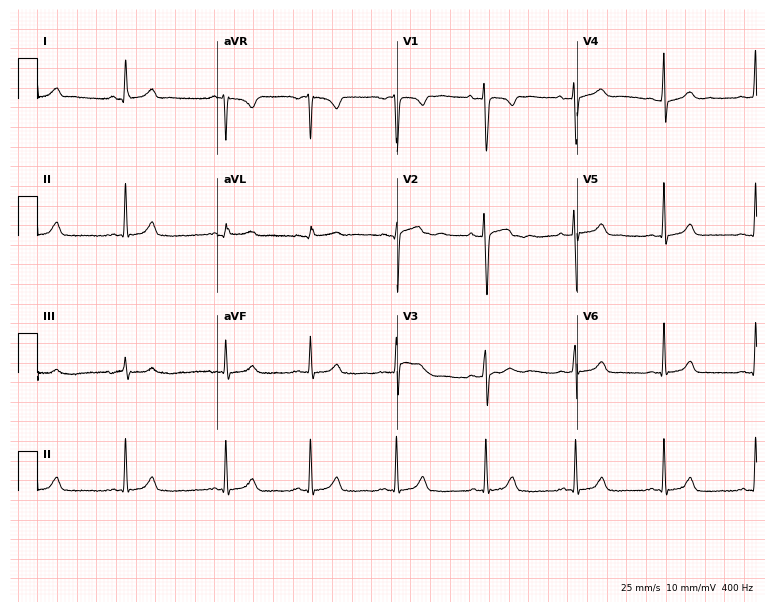
ECG — a 22-year-old woman. Screened for six findings — first-degree AV block, right bundle branch block, left bundle branch block, sinus bradycardia, atrial fibrillation, sinus tachycardia — none is recorded.